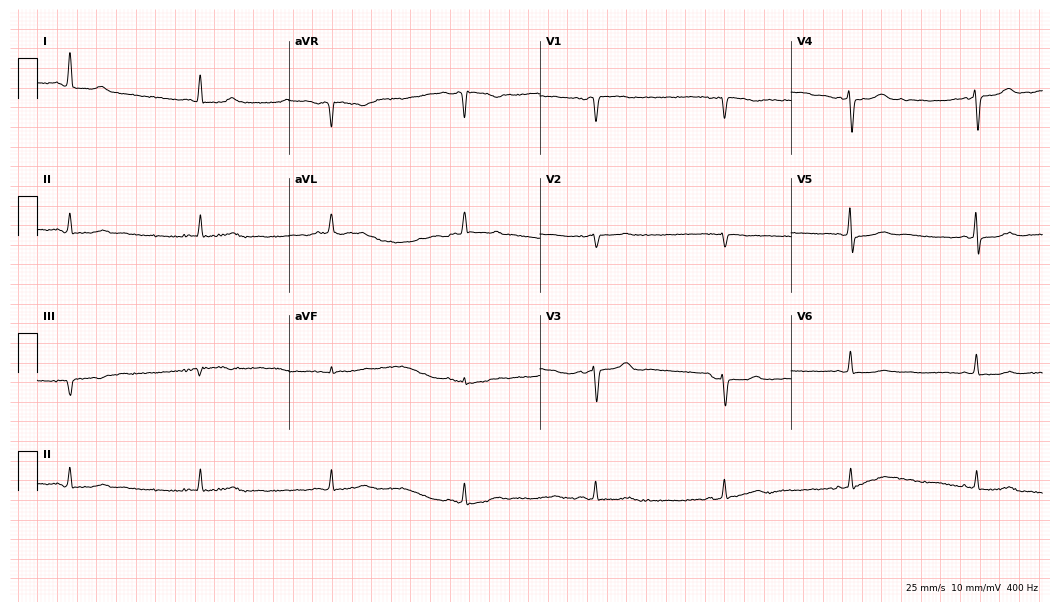
Resting 12-lead electrocardiogram (10.2-second recording at 400 Hz). Patient: a 70-year-old woman. The tracing shows sinus bradycardia (a sinus rate of 50 beats per minute or less).